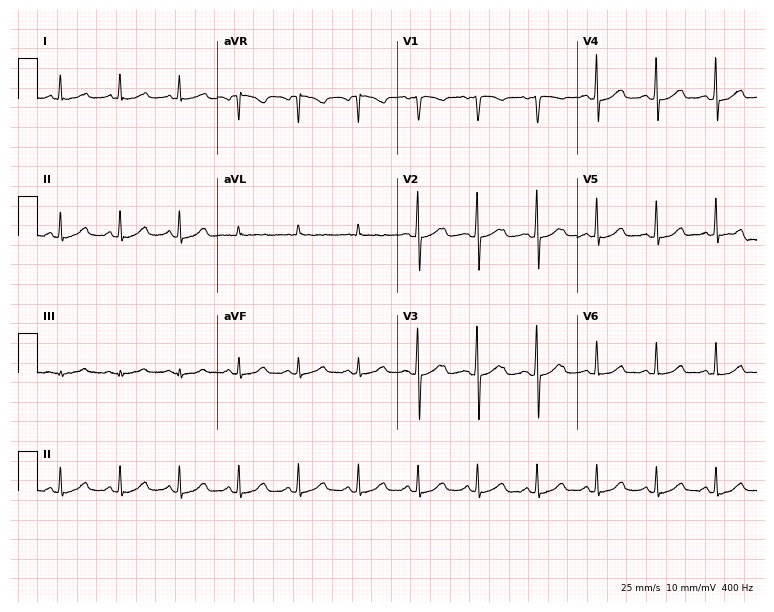
Resting 12-lead electrocardiogram (7.3-second recording at 400 Hz). Patient: a 48-year-old woman. Read as a normal ECG.